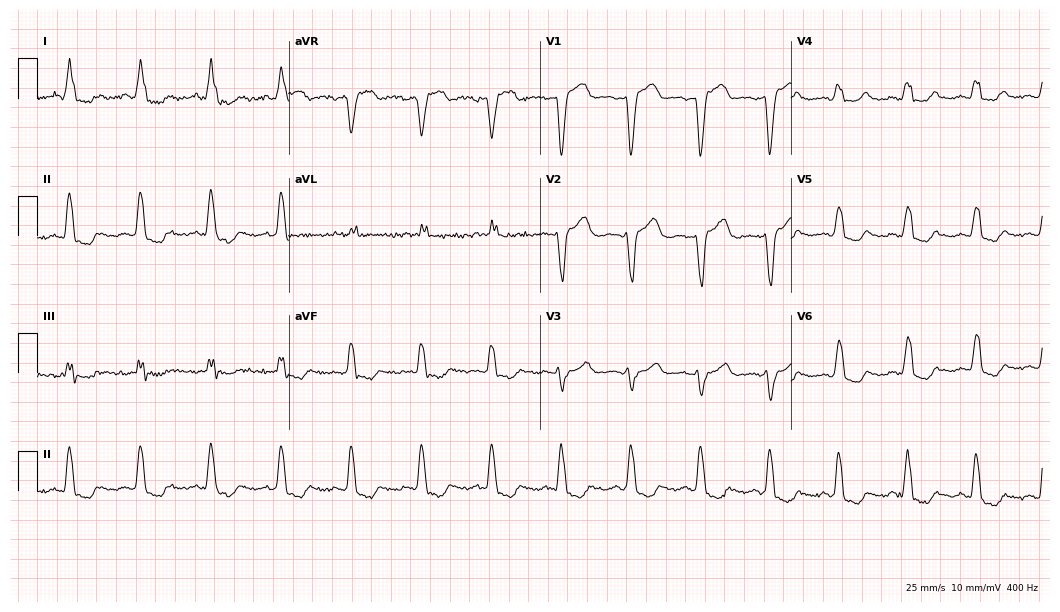
12-lead ECG from a 67-year-old female. Shows left bundle branch block.